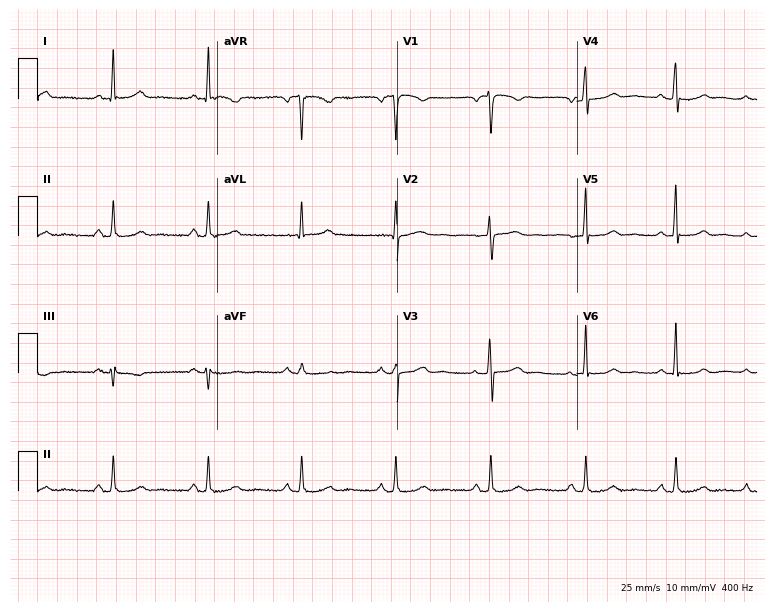
Electrocardiogram (7.3-second recording at 400 Hz), a 52-year-old female patient. Overall reading on record: normal ECG.